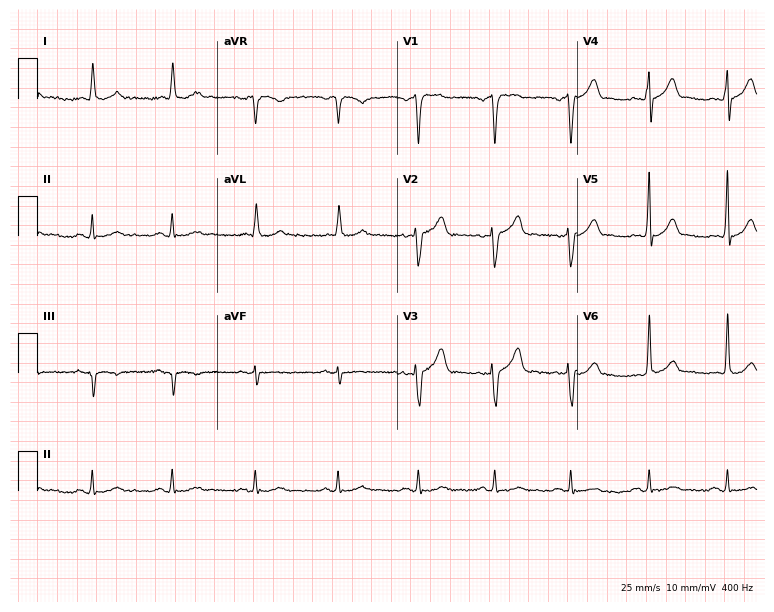
ECG (7.3-second recording at 400 Hz) — a 61-year-old male. Labelled as a normal ECG.